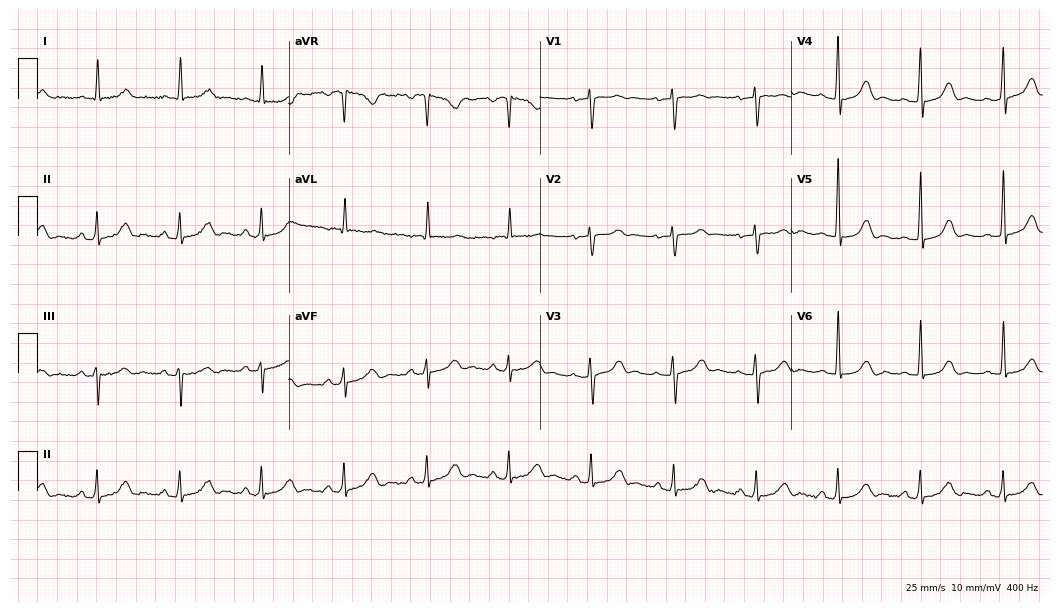
12-lead ECG from a woman, 75 years old. No first-degree AV block, right bundle branch block, left bundle branch block, sinus bradycardia, atrial fibrillation or sinus tachycardia recorded for this tracing.